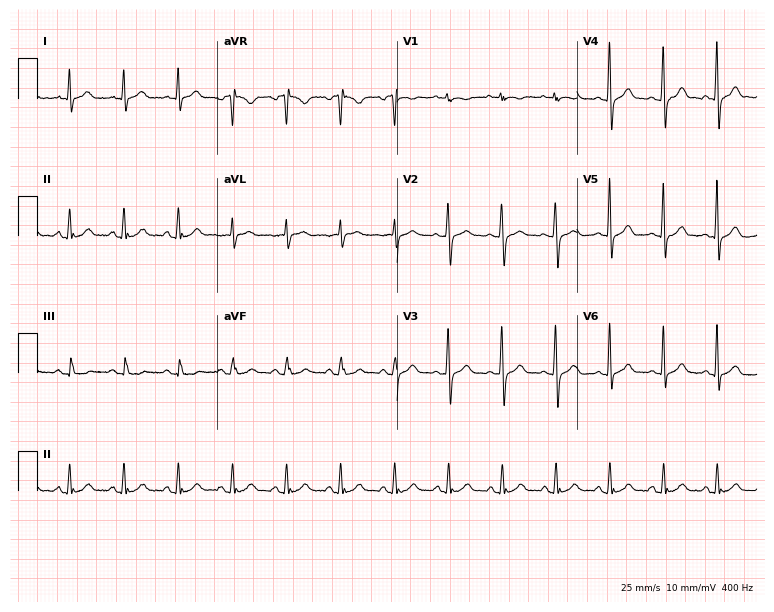
Resting 12-lead electrocardiogram. Patient: a woman, 60 years old. The tracing shows sinus tachycardia (a sinus rate of 100 beats per minute or more).